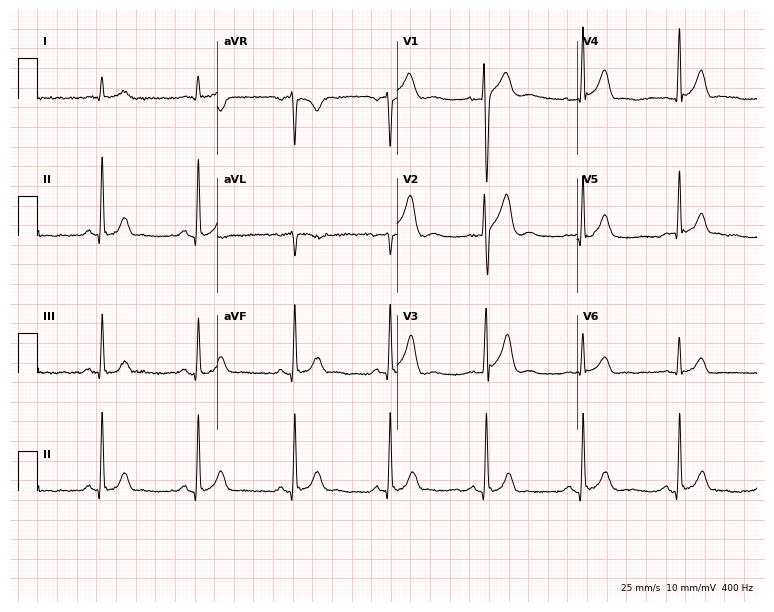
12-lead ECG from a woman, 39 years old (7.3-second recording at 400 Hz). No first-degree AV block, right bundle branch block, left bundle branch block, sinus bradycardia, atrial fibrillation or sinus tachycardia recorded for this tracing.